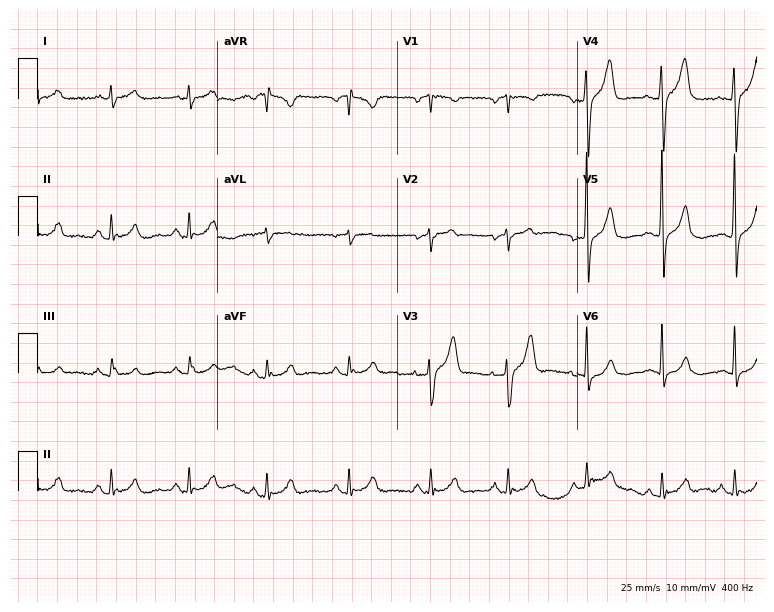
ECG — a man, 51 years old. Screened for six findings — first-degree AV block, right bundle branch block, left bundle branch block, sinus bradycardia, atrial fibrillation, sinus tachycardia — none is recorded. Other findings, if any, are not listed.